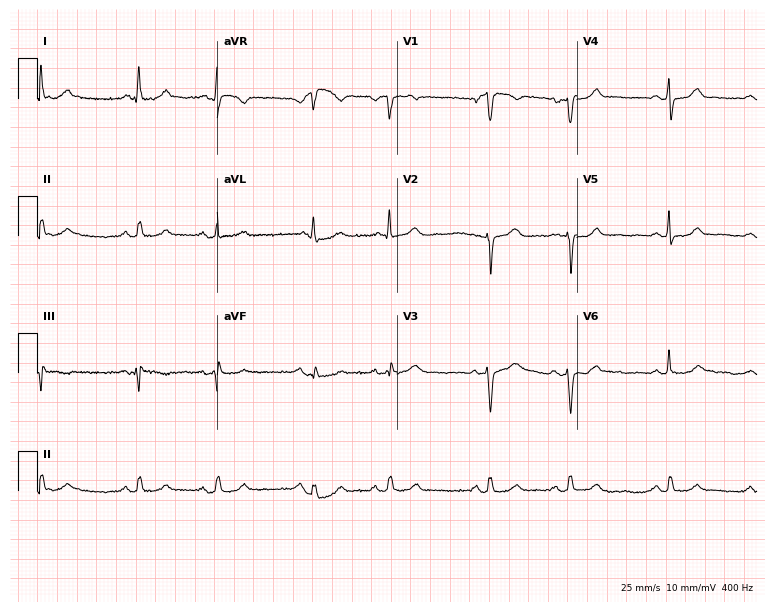
ECG (7.3-second recording at 400 Hz) — a male patient, 71 years old. Screened for six findings — first-degree AV block, right bundle branch block (RBBB), left bundle branch block (LBBB), sinus bradycardia, atrial fibrillation (AF), sinus tachycardia — none is recorded.